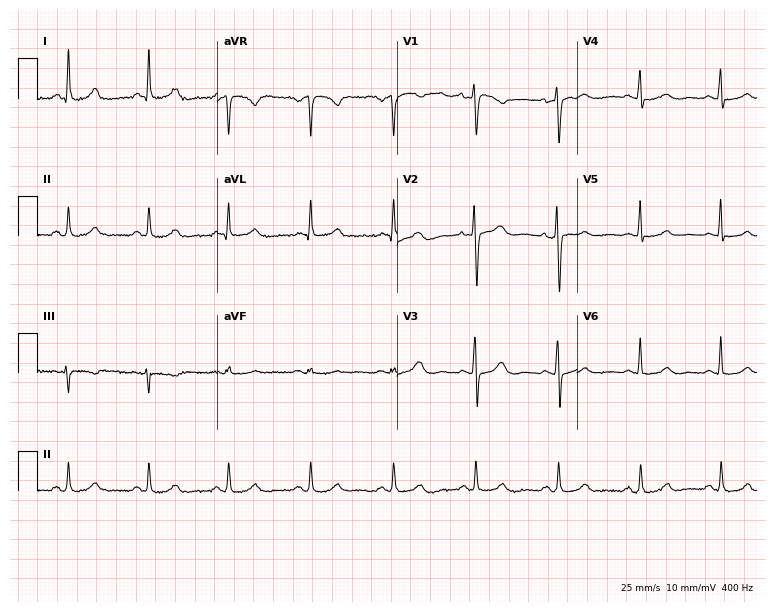
12-lead ECG (7.3-second recording at 400 Hz) from a 57-year-old female patient. Screened for six findings — first-degree AV block, right bundle branch block, left bundle branch block, sinus bradycardia, atrial fibrillation, sinus tachycardia — none is recorded. Findings outside these six are not listed.